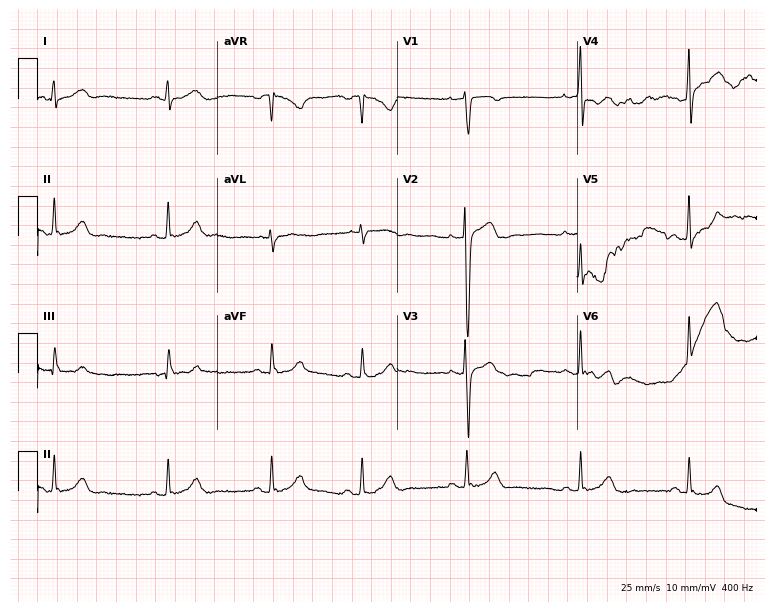
Standard 12-lead ECG recorded from a 19-year-old man. Read as a normal ECG.